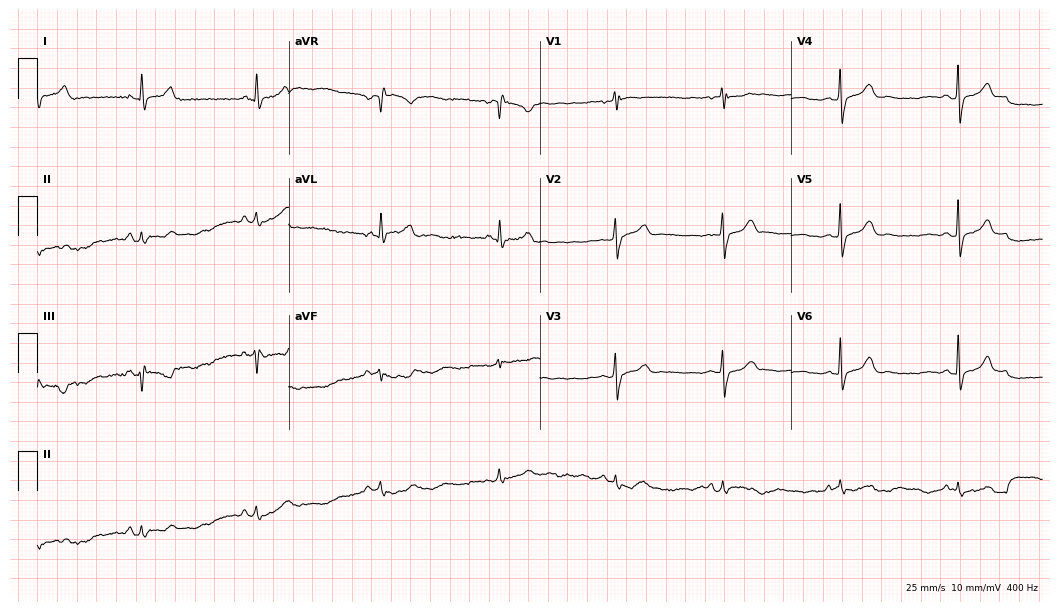
Standard 12-lead ECG recorded from a 48-year-old man. Read as a normal ECG.